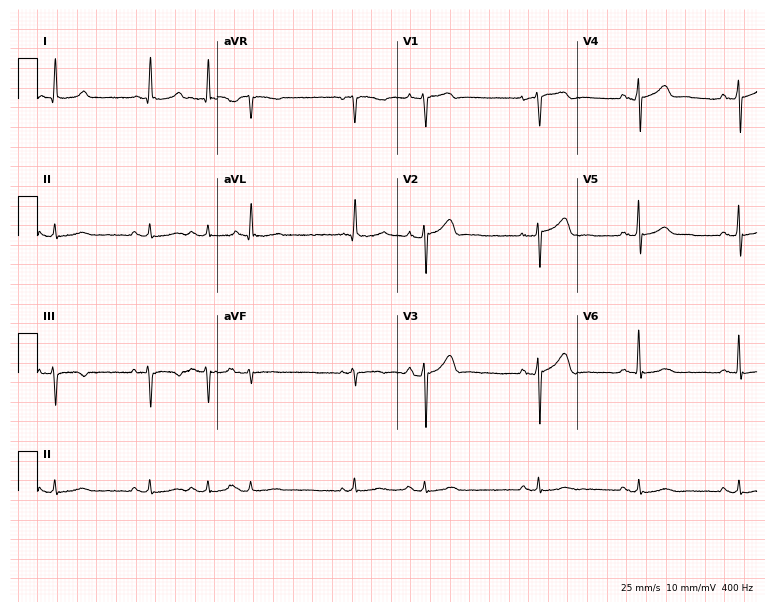
12-lead ECG from a male, 79 years old. No first-degree AV block, right bundle branch block, left bundle branch block, sinus bradycardia, atrial fibrillation or sinus tachycardia recorded for this tracing. Other findings, if any, are not listed.